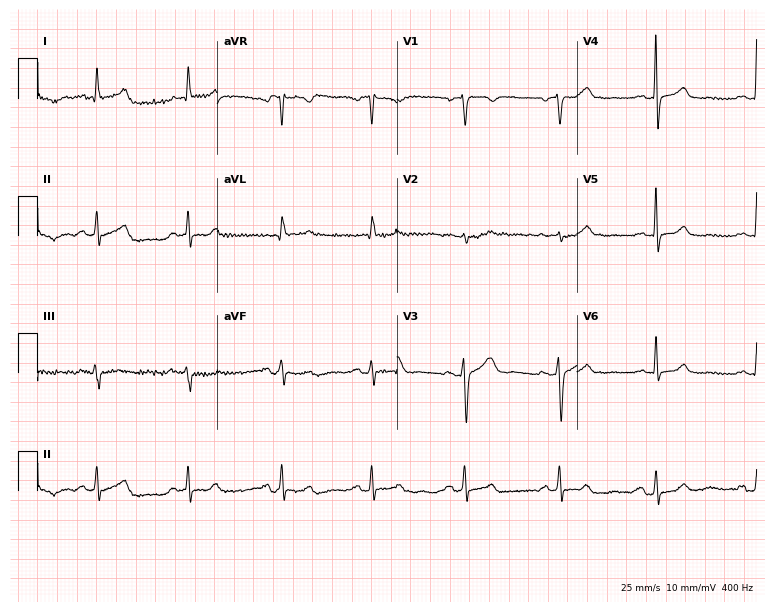
Electrocardiogram, a 49-year-old female patient. Of the six screened findings (first-degree AV block, right bundle branch block (RBBB), left bundle branch block (LBBB), sinus bradycardia, atrial fibrillation (AF), sinus tachycardia), none is recorded.